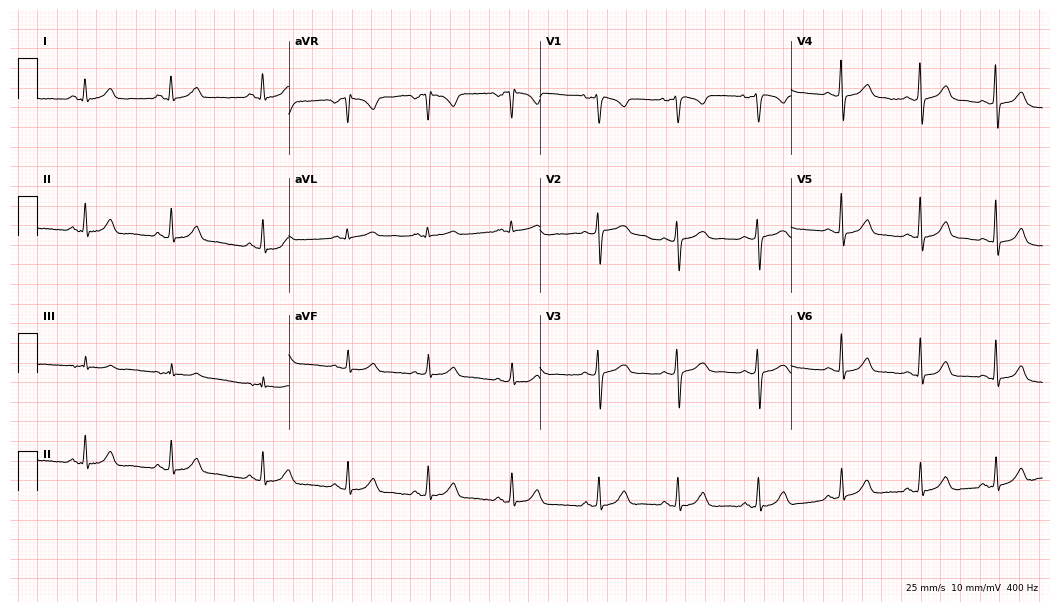
ECG — a 23-year-old female patient. Labelled as a normal ECG.